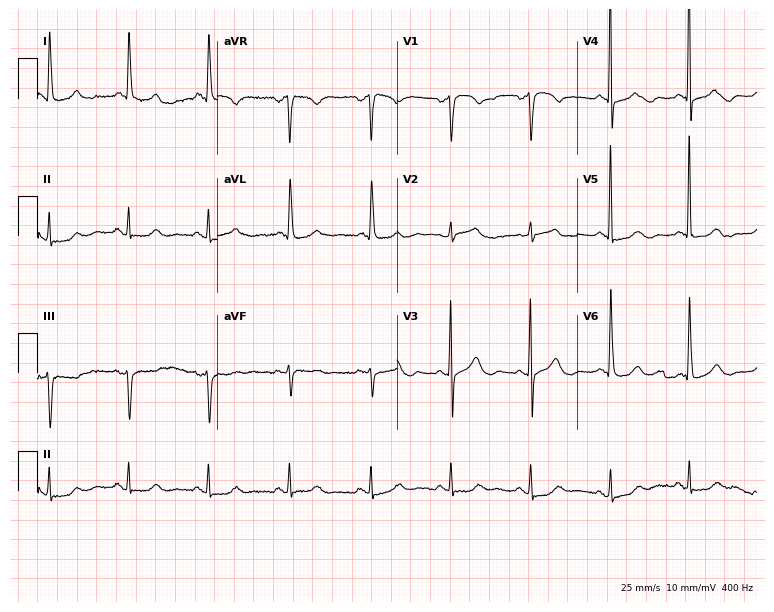
Resting 12-lead electrocardiogram. Patient: a 68-year-old female. None of these six findings is recorded: first-degree AV block, right bundle branch block (RBBB), left bundle branch block (LBBB), sinus bradycardia, atrial fibrillation (AF), sinus tachycardia. Findings outside these six are not listed.